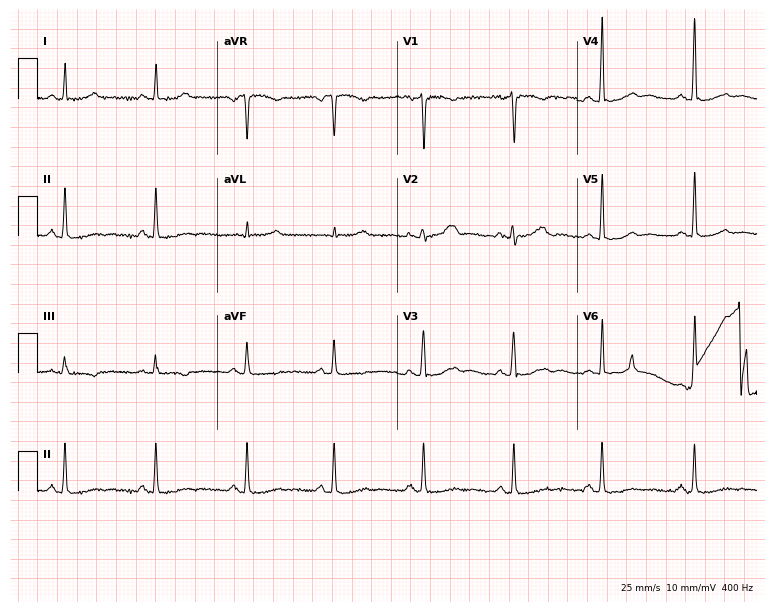
12-lead ECG from a 49-year-old woman (7.3-second recording at 400 Hz). No first-degree AV block, right bundle branch block (RBBB), left bundle branch block (LBBB), sinus bradycardia, atrial fibrillation (AF) or sinus tachycardia recorded for this tracing. Other findings, if any, are not listed.